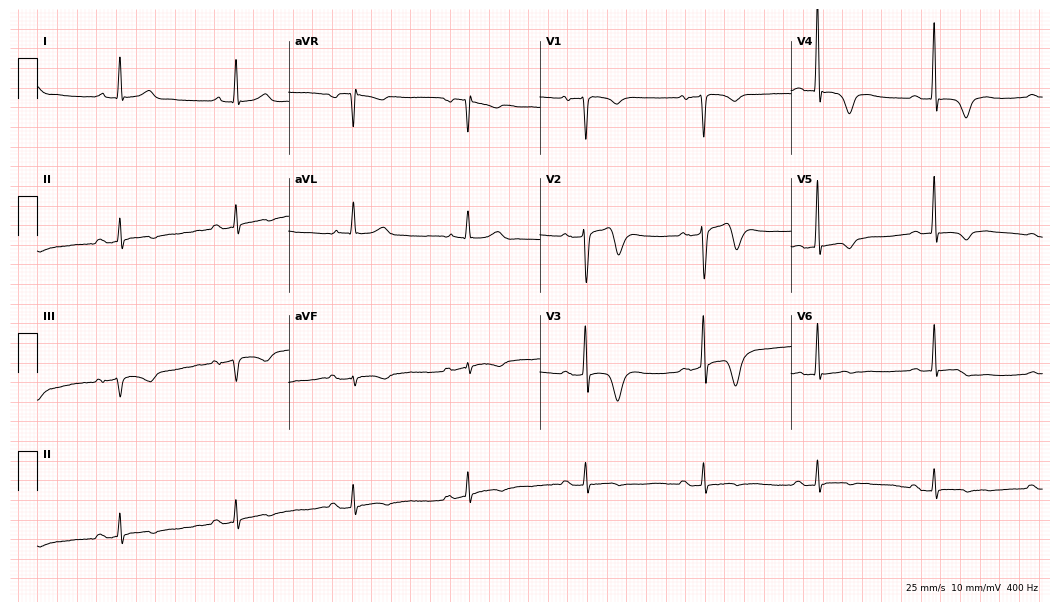
Electrocardiogram (10.2-second recording at 400 Hz), a 76-year-old male patient. Interpretation includes first-degree AV block.